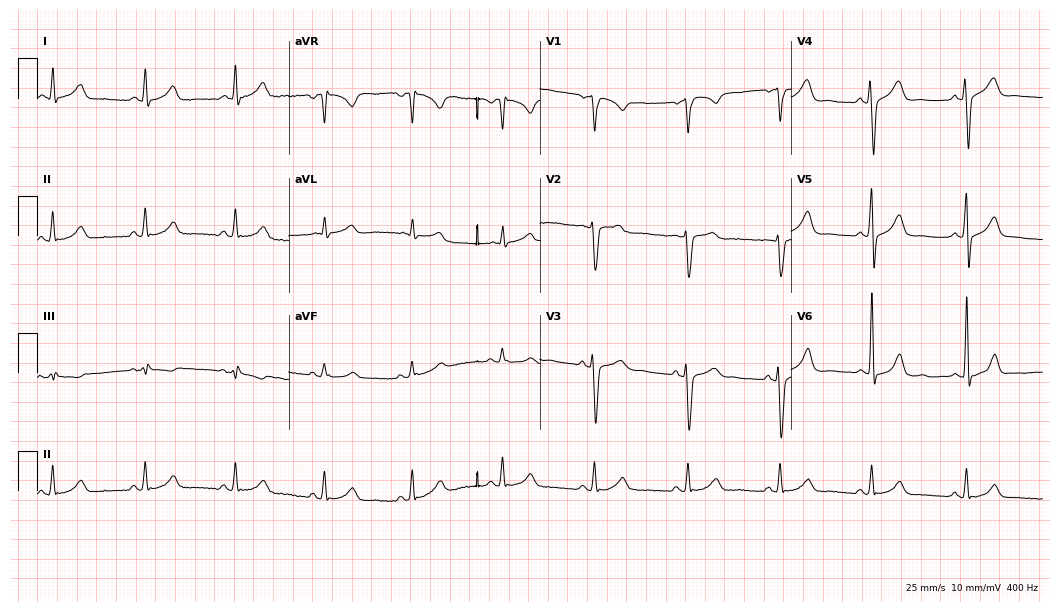
Resting 12-lead electrocardiogram. Patient: a 27-year-old man. Read as a normal ECG.